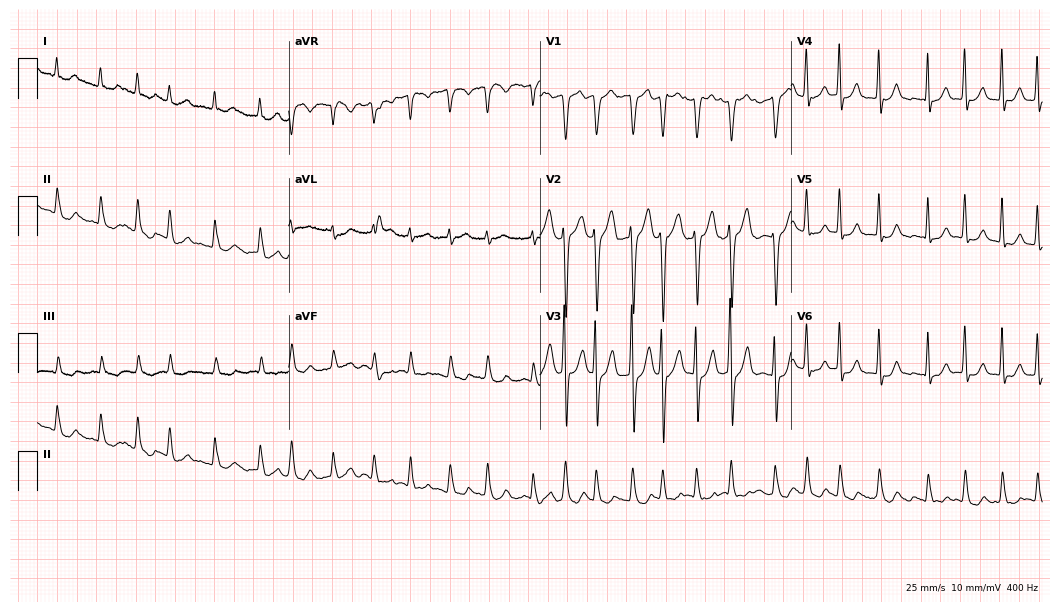
Standard 12-lead ECG recorded from an 80-year-old male patient (10.2-second recording at 400 Hz). The tracing shows atrial fibrillation.